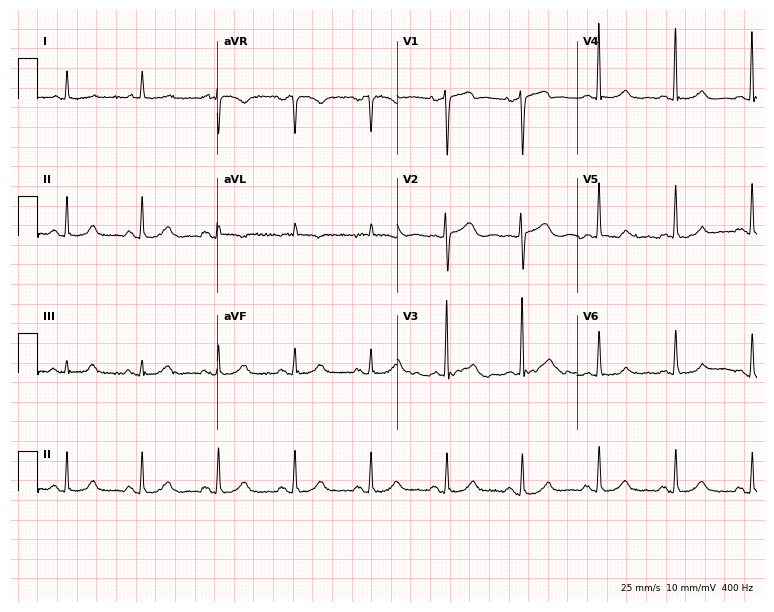
Electrocardiogram, an 80-year-old female. Overall reading on record: normal ECG.